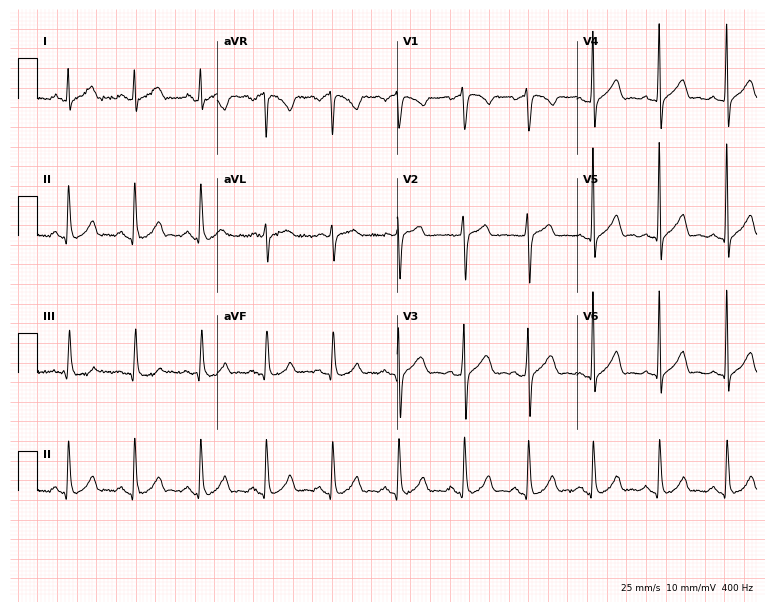
12-lead ECG from a man, 46 years old (7.3-second recording at 400 Hz). Recorded interpretation: within normal limits.